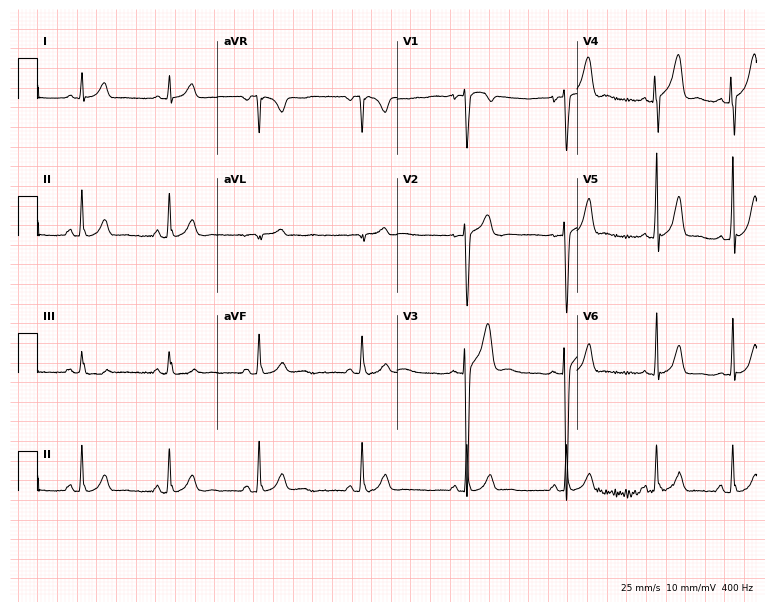
12-lead ECG (7.3-second recording at 400 Hz) from a 20-year-old man. Labelled as a normal ECG.